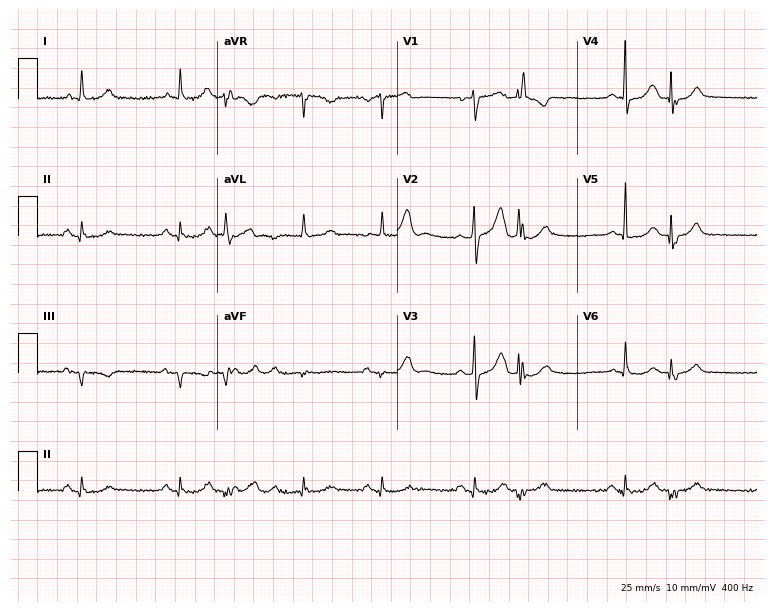
ECG — a male, 72 years old. Screened for six findings — first-degree AV block, right bundle branch block, left bundle branch block, sinus bradycardia, atrial fibrillation, sinus tachycardia — none is recorded. Other findings, if any, are not listed.